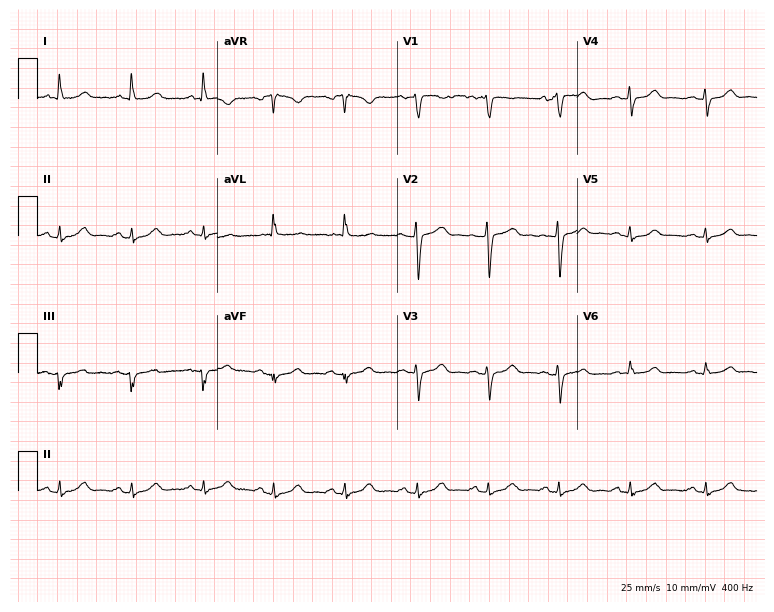
Resting 12-lead electrocardiogram. Patient: a 44-year-old woman. Read as a normal ECG.